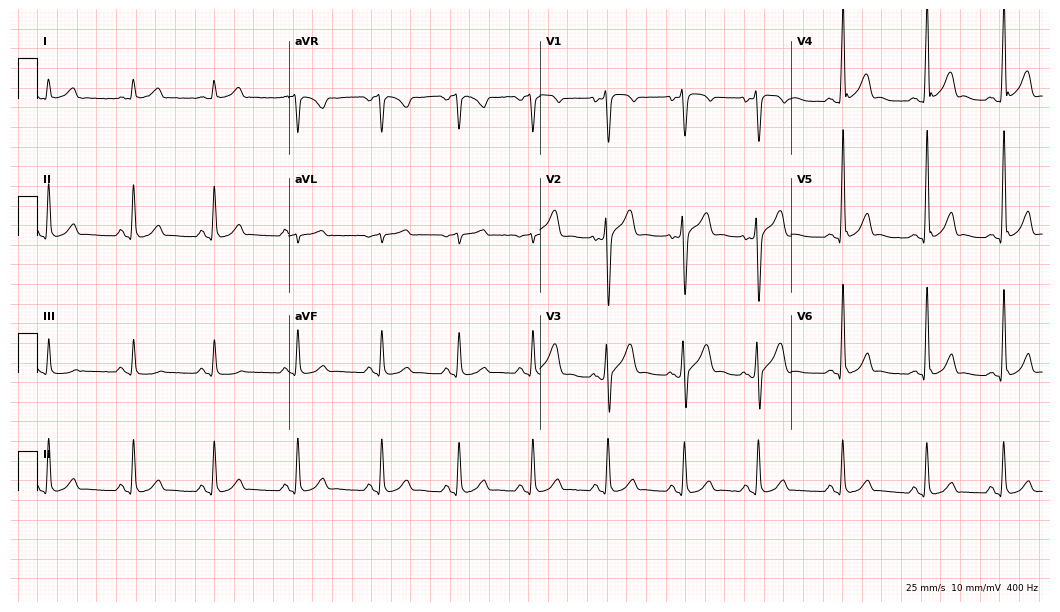
ECG (10.2-second recording at 400 Hz) — a 26-year-old man. Labelled as a normal ECG.